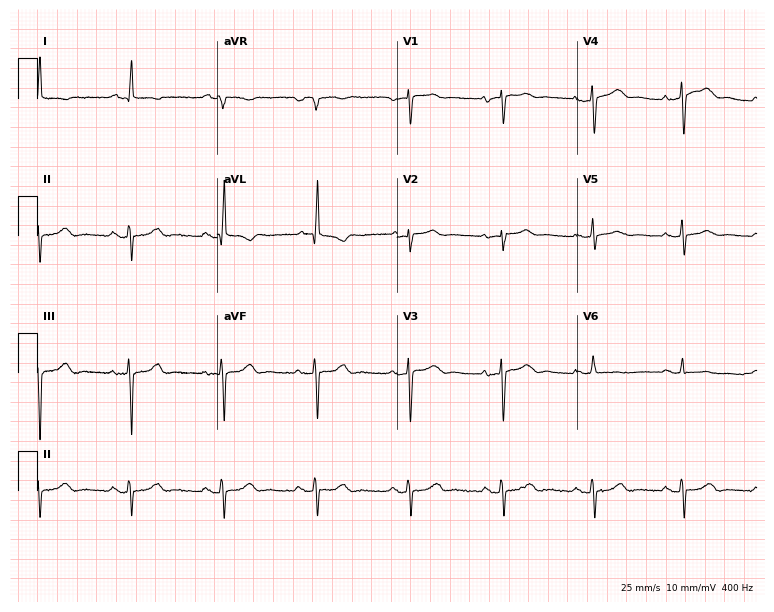
Electrocardiogram, a 77-year-old female patient. Of the six screened findings (first-degree AV block, right bundle branch block, left bundle branch block, sinus bradycardia, atrial fibrillation, sinus tachycardia), none is recorded.